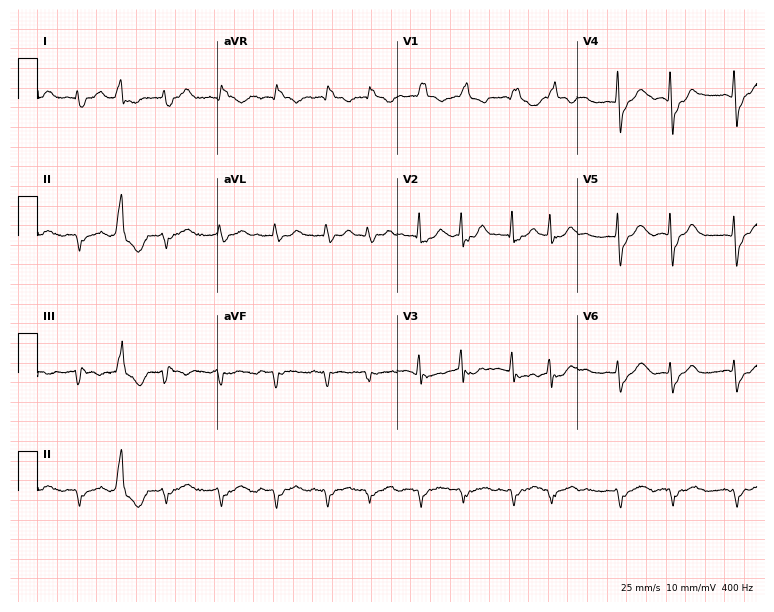
Standard 12-lead ECG recorded from a male patient, 85 years old (7.3-second recording at 400 Hz). The tracing shows right bundle branch block, atrial fibrillation.